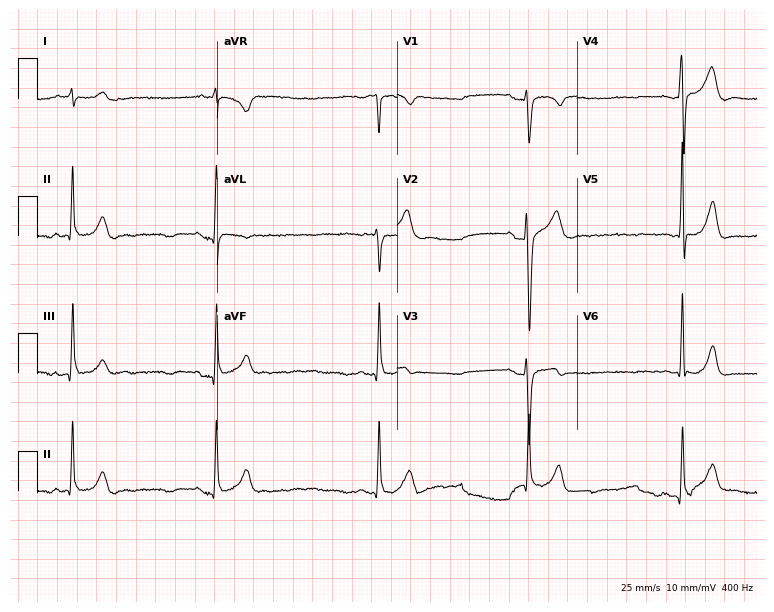
ECG (7.3-second recording at 400 Hz) — a 23-year-old man. Findings include sinus bradycardia (a sinus rate of 50 beats per minute or less).